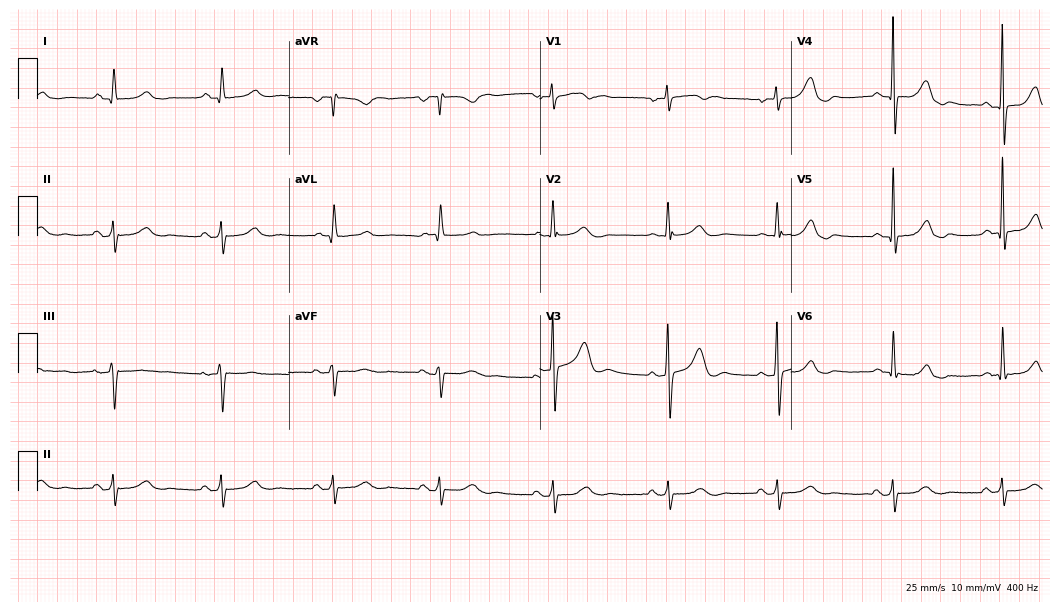
Resting 12-lead electrocardiogram. Patient: a 60-year-old male. Read as a normal ECG.